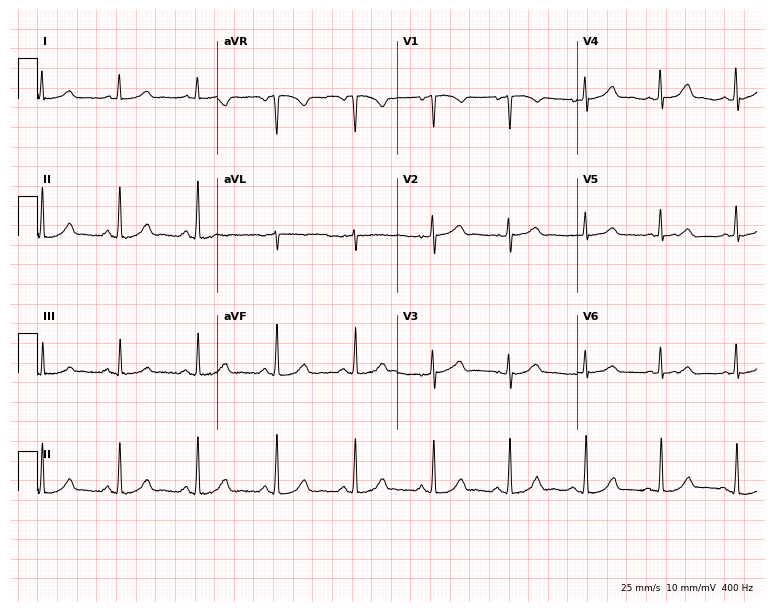
Resting 12-lead electrocardiogram. Patient: a woman, 44 years old. None of these six findings is recorded: first-degree AV block, right bundle branch block, left bundle branch block, sinus bradycardia, atrial fibrillation, sinus tachycardia.